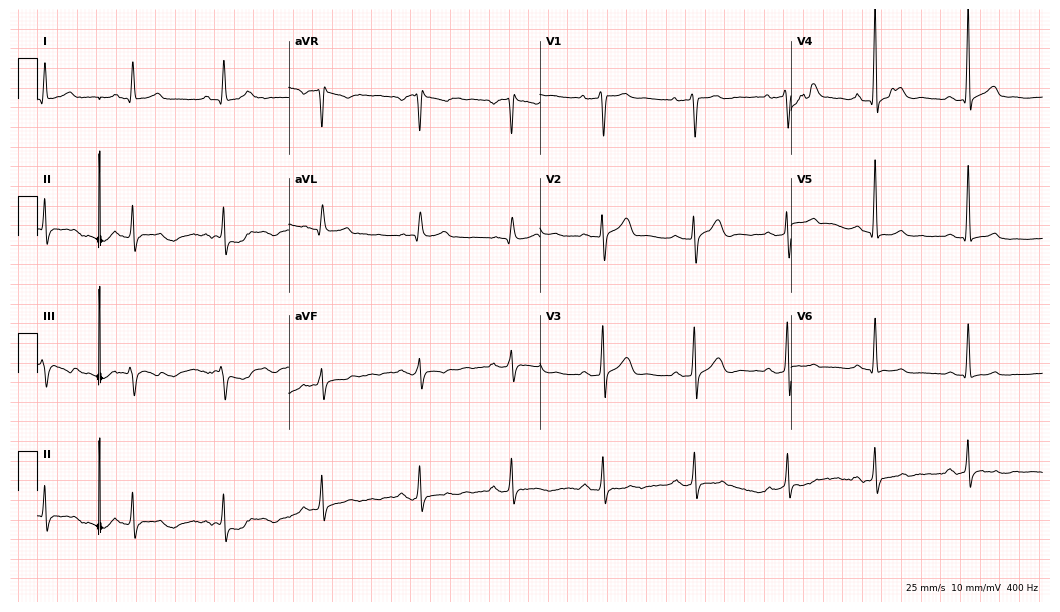
12-lead ECG from a 38-year-old male patient. No first-degree AV block, right bundle branch block, left bundle branch block, sinus bradycardia, atrial fibrillation or sinus tachycardia recorded for this tracing. Findings outside these six are not listed.